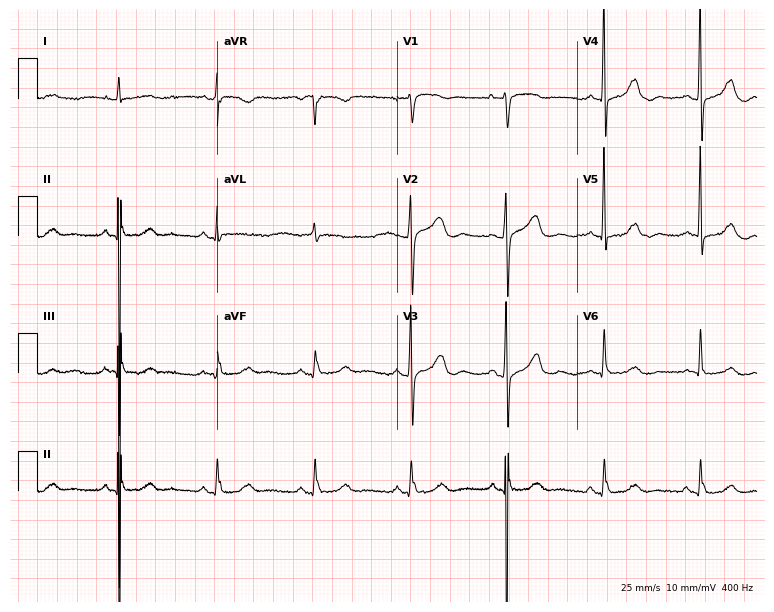
12-lead ECG from an 80-year-old woman (7.3-second recording at 400 Hz). No first-degree AV block, right bundle branch block, left bundle branch block, sinus bradycardia, atrial fibrillation or sinus tachycardia recorded for this tracing.